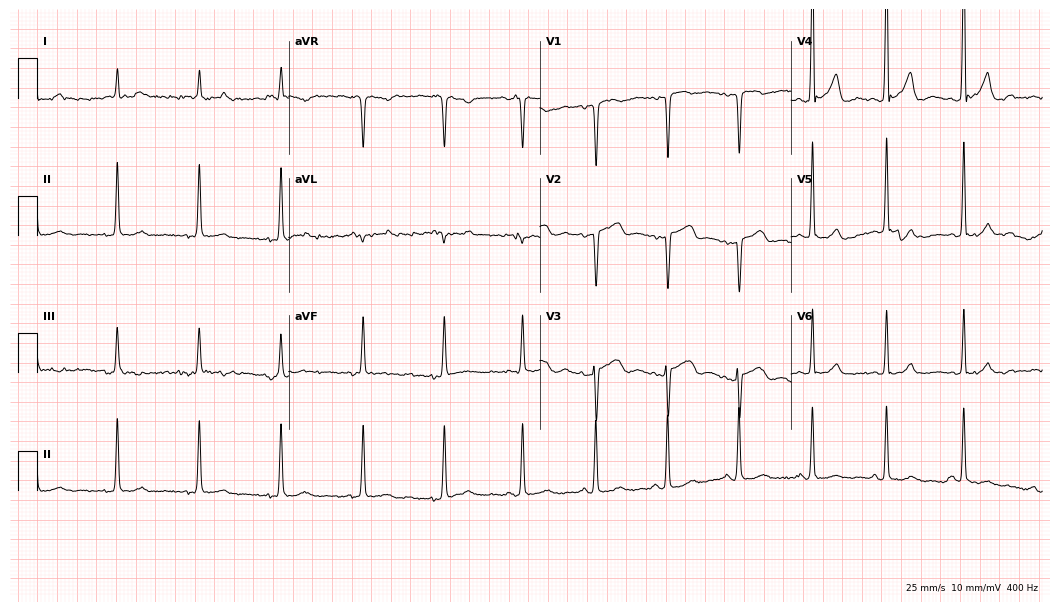
12-lead ECG (10.2-second recording at 400 Hz) from a 65-year-old man. Screened for six findings — first-degree AV block, right bundle branch block, left bundle branch block, sinus bradycardia, atrial fibrillation, sinus tachycardia — none is recorded.